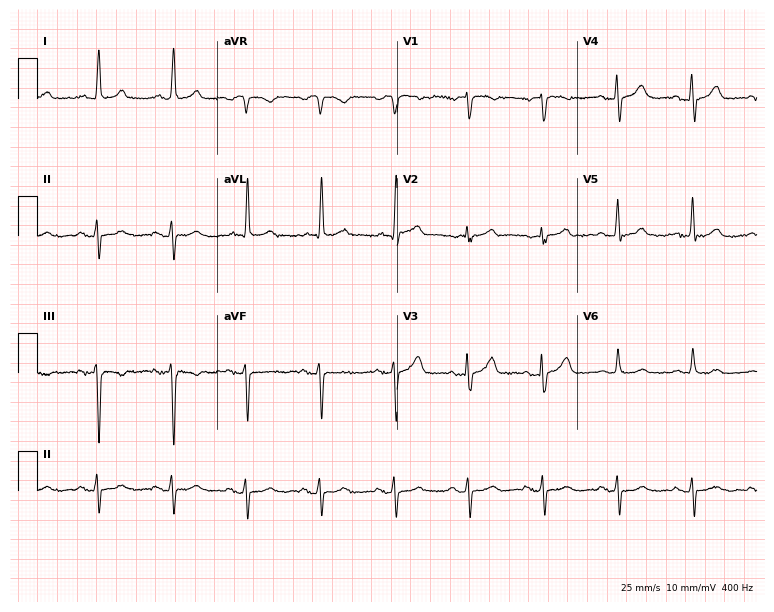
Resting 12-lead electrocardiogram (7.3-second recording at 400 Hz). Patient: an 85-year-old man. None of these six findings is recorded: first-degree AV block, right bundle branch block, left bundle branch block, sinus bradycardia, atrial fibrillation, sinus tachycardia.